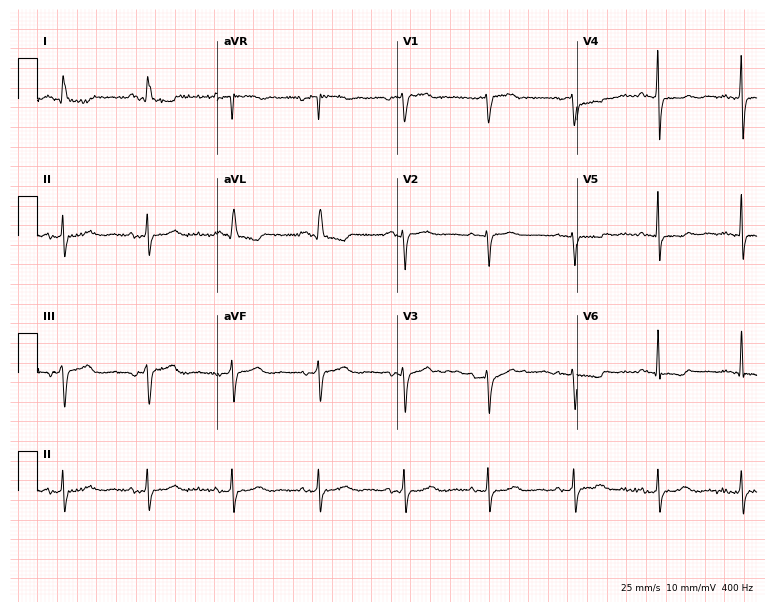
12-lead ECG from a 59-year-old woman. No first-degree AV block, right bundle branch block (RBBB), left bundle branch block (LBBB), sinus bradycardia, atrial fibrillation (AF) or sinus tachycardia recorded for this tracing. Only these six findings were labelled.